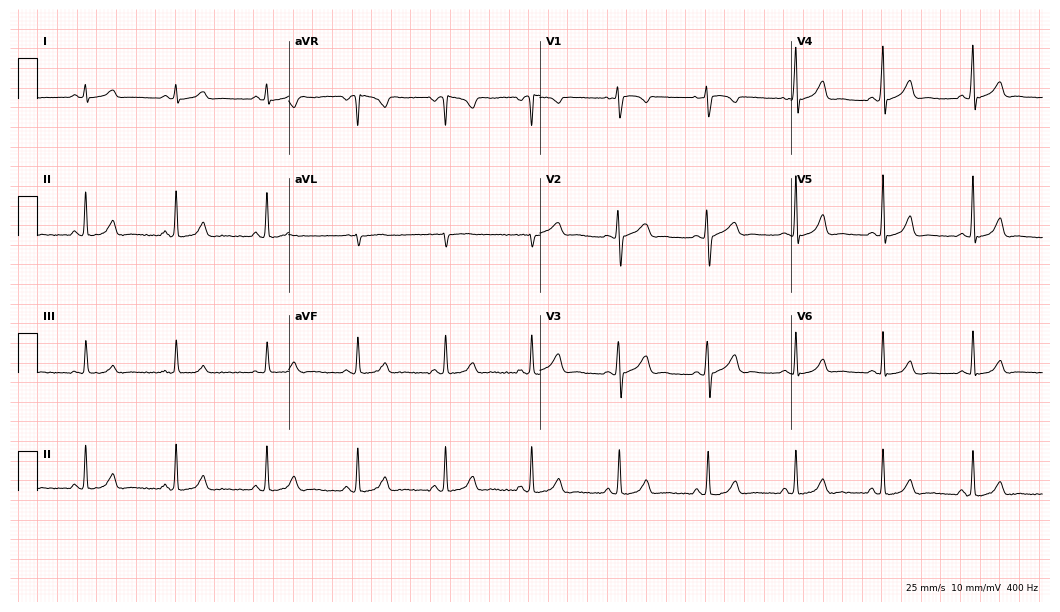
12-lead ECG (10.2-second recording at 400 Hz) from a female, 27 years old. Screened for six findings — first-degree AV block, right bundle branch block, left bundle branch block, sinus bradycardia, atrial fibrillation, sinus tachycardia — none is recorded.